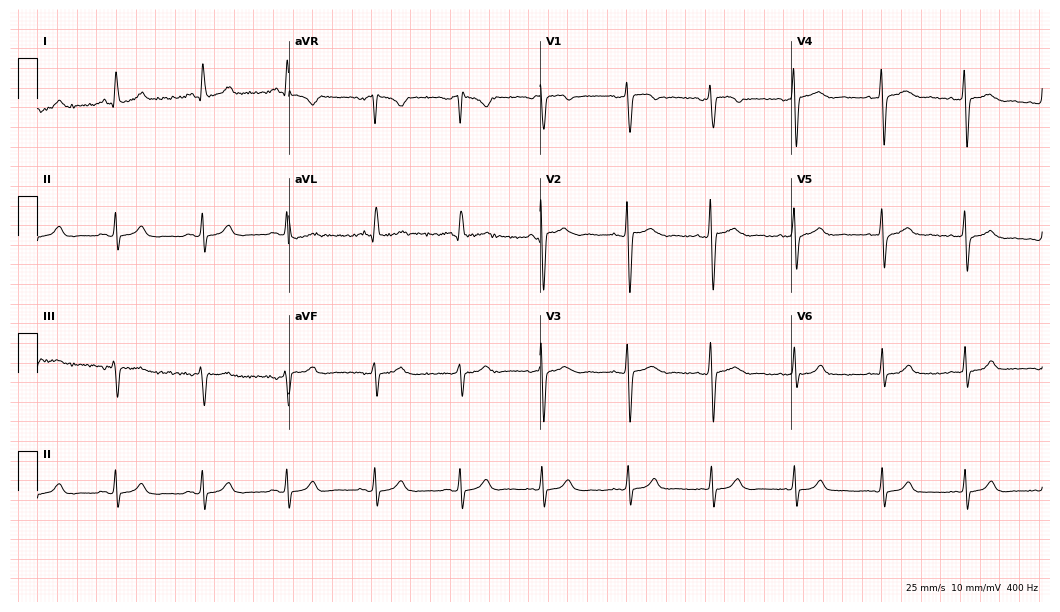
Resting 12-lead electrocardiogram (10.2-second recording at 400 Hz). Patient: a 39-year-old female. Read as a normal ECG.